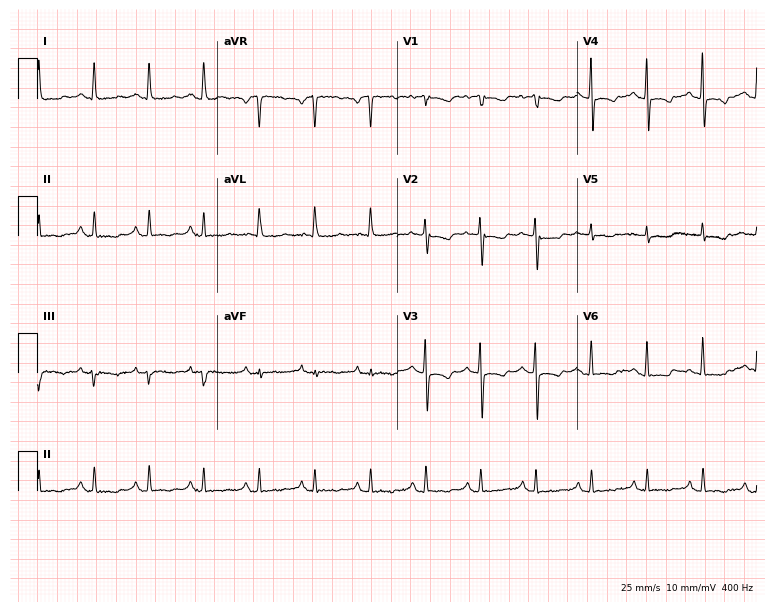
Standard 12-lead ECG recorded from a female patient, 71 years old (7.3-second recording at 400 Hz). None of these six findings is recorded: first-degree AV block, right bundle branch block (RBBB), left bundle branch block (LBBB), sinus bradycardia, atrial fibrillation (AF), sinus tachycardia. Only these six findings were labelled.